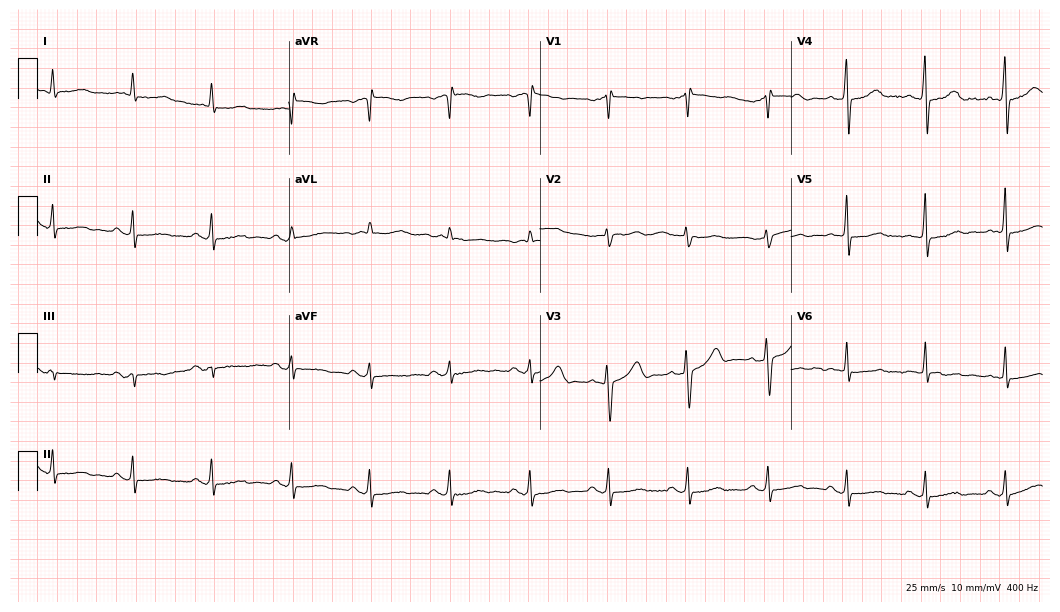
Resting 12-lead electrocardiogram. Patient: a 66-year-old male. None of these six findings is recorded: first-degree AV block, right bundle branch block (RBBB), left bundle branch block (LBBB), sinus bradycardia, atrial fibrillation (AF), sinus tachycardia.